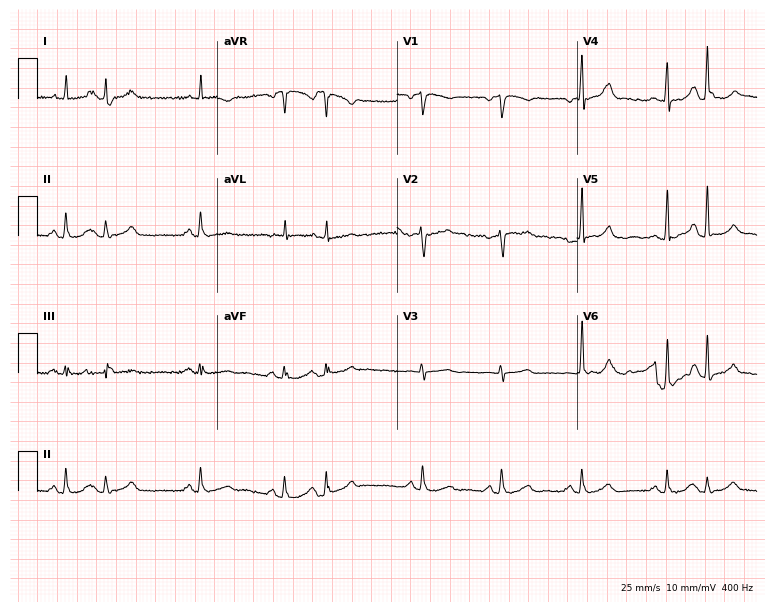
Resting 12-lead electrocardiogram (7.3-second recording at 400 Hz). Patient: a 51-year-old female. None of these six findings is recorded: first-degree AV block, right bundle branch block (RBBB), left bundle branch block (LBBB), sinus bradycardia, atrial fibrillation (AF), sinus tachycardia. Other findings, if any, are not listed.